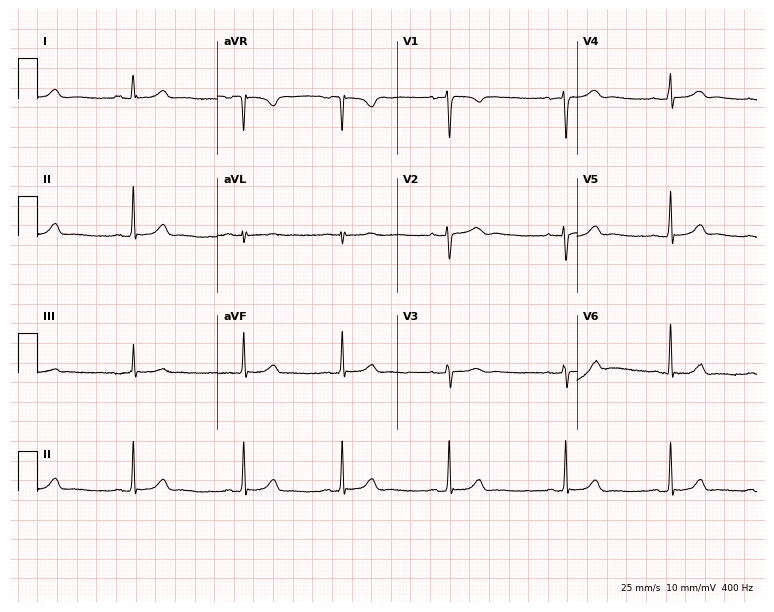
ECG — a female, 18 years old. Labelled as a normal ECG.